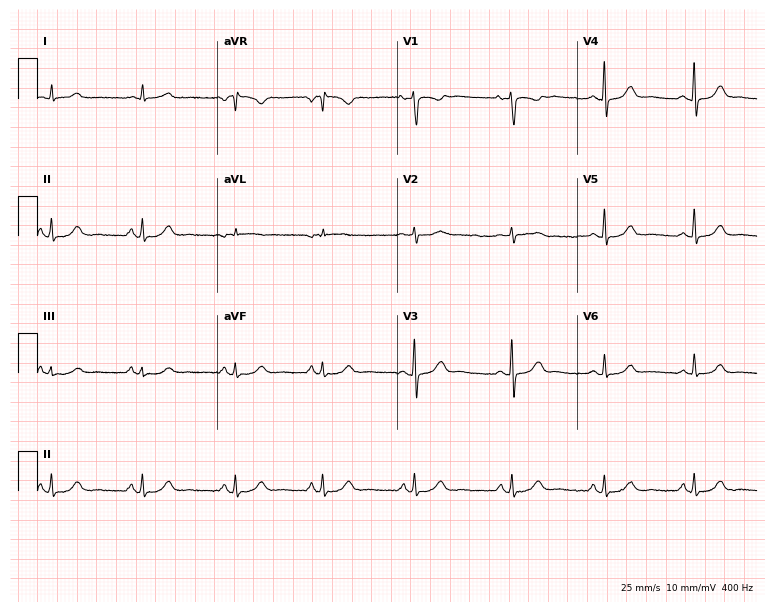
12-lead ECG from a woman, 43 years old (7.3-second recording at 400 Hz). Recorded interpretation: within normal limits.